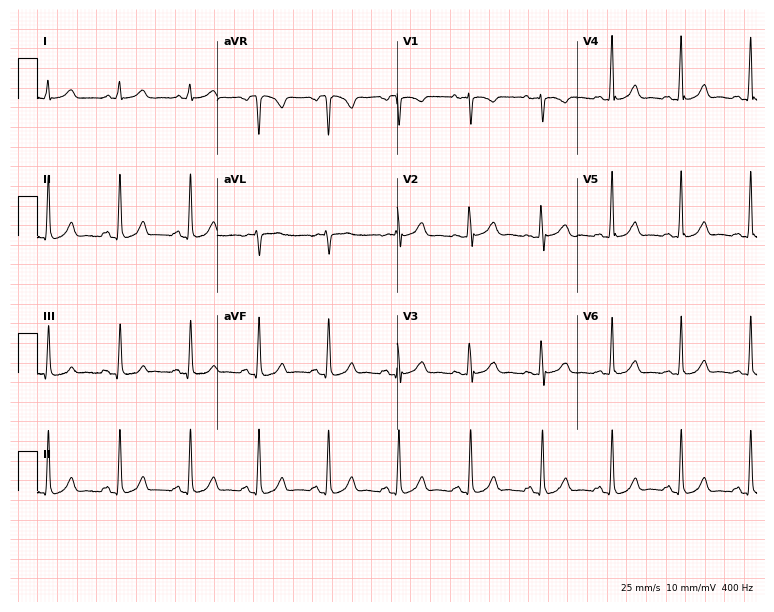
Resting 12-lead electrocardiogram. Patient: a 48-year-old female. None of these six findings is recorded: first-degree AV block, right bundle branch block, left bundle branch block, sinus bradycardia, atrial fibrillation, sinus tachycardia. Only these six findings were labelled.